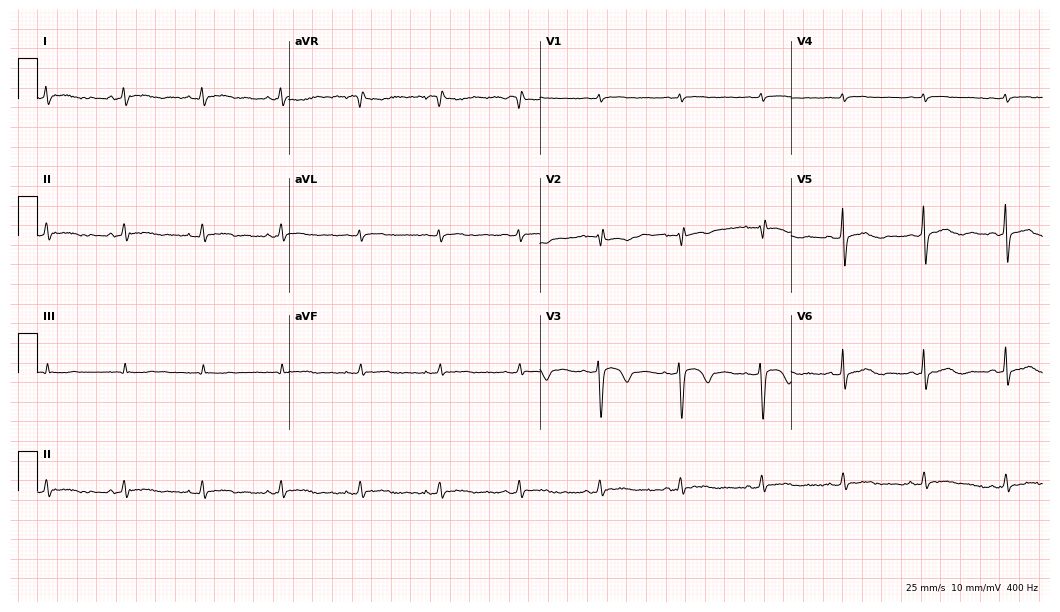
Electrocardiogram (10.2-second recording at 400 Hz), a female patient, 53 years old. Of the six screened findings (first-degree AV block, right bundle branch block (RBBB), left bundle branch block (LBBB), sinus bradycardia, atrial fibrillation (AF), sinus tachycardia), none is recorded. Only these six findings were labelled.